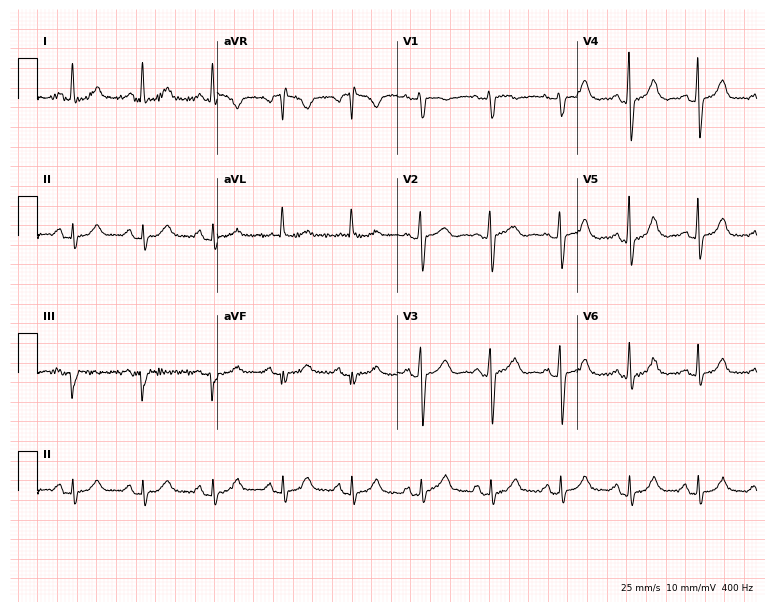
Electrocardiogram, a 73-year-old female patient. Overall reading on record: normal ECG.